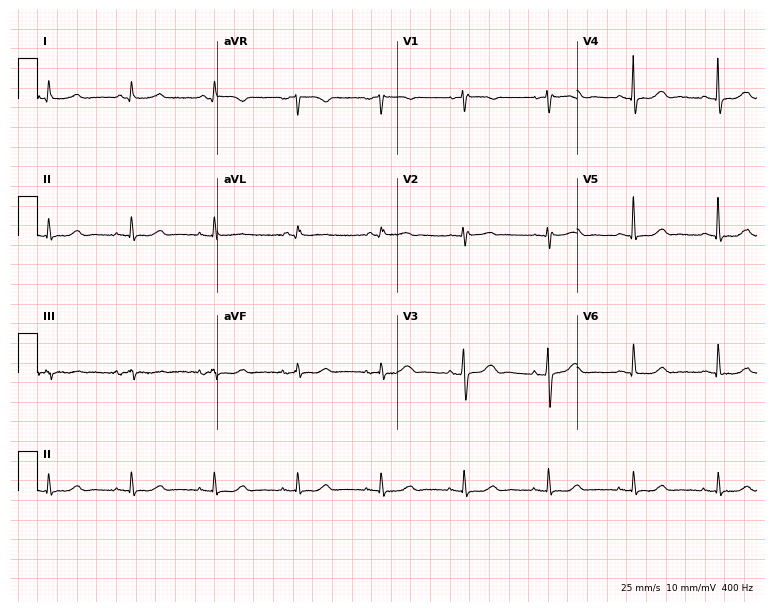
Resting 12-lead electrocardiogram (7.3-second recording at 400 Hz). Patient: a female, 64 years old. Read as a normal ECG.